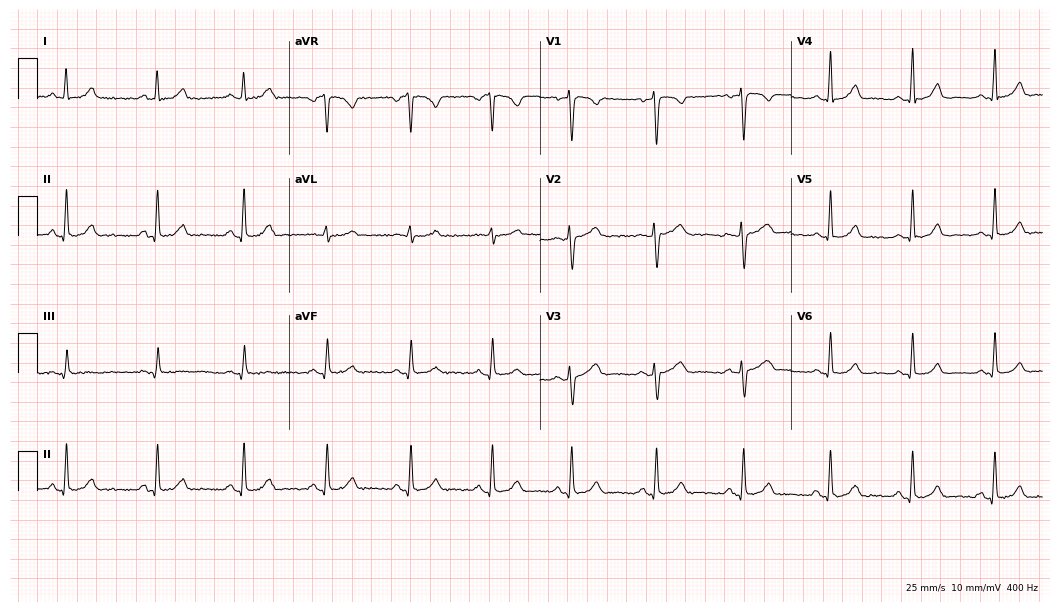
12-lead ECG from a 32-year-old female patient (10.2-second recording at 400 Hz). Recorded interpretation: within normal limits.